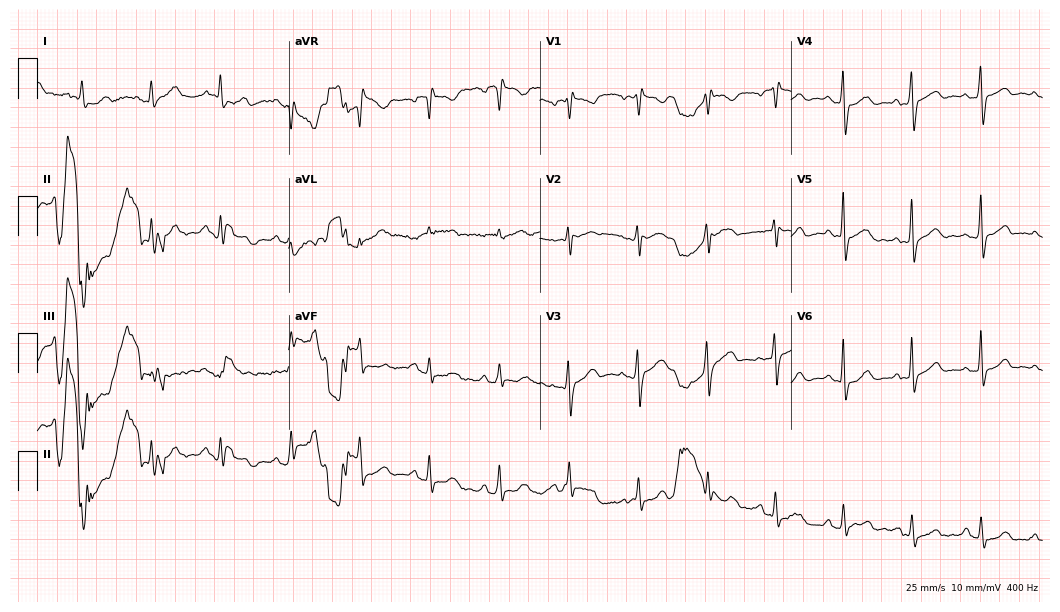
Resting 12-lead electrocardiogram. Patient: a 52-year-old male. None of these six findings is recorded: first-degree AV block, right bundle branch block, left bundle branch block, sinus bradycardia, atrial fibrillation, sinus tachycardia. Other findings, if any, are not listed.